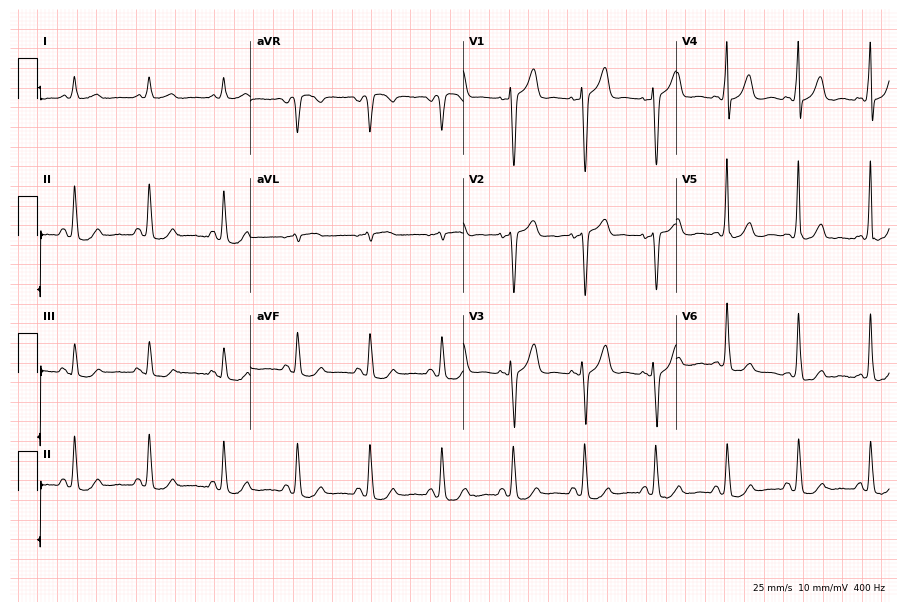
ECG — a male, 31 years old. Labelled as a normal ECG.